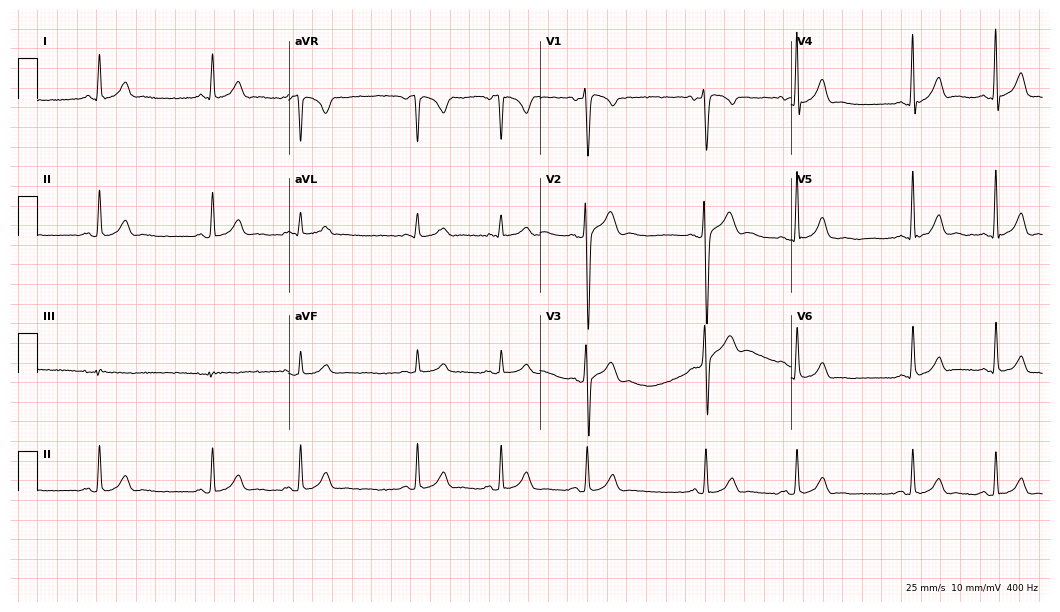
Resting 12-lead electrocardiogram. Patient: a male, 22 years old. Read as a normal ECG.